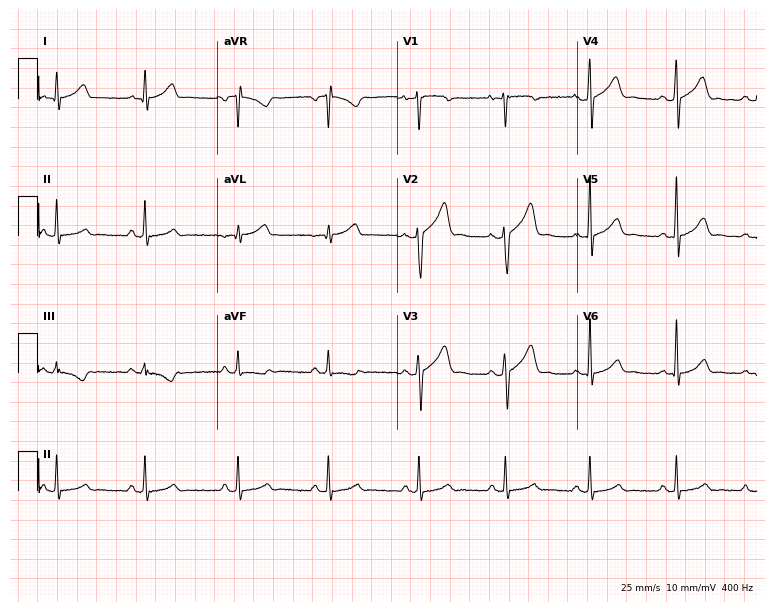
Resting 12-lead electrocardiogram. Patient: a male, 28 years old. Read as a normal ECG.